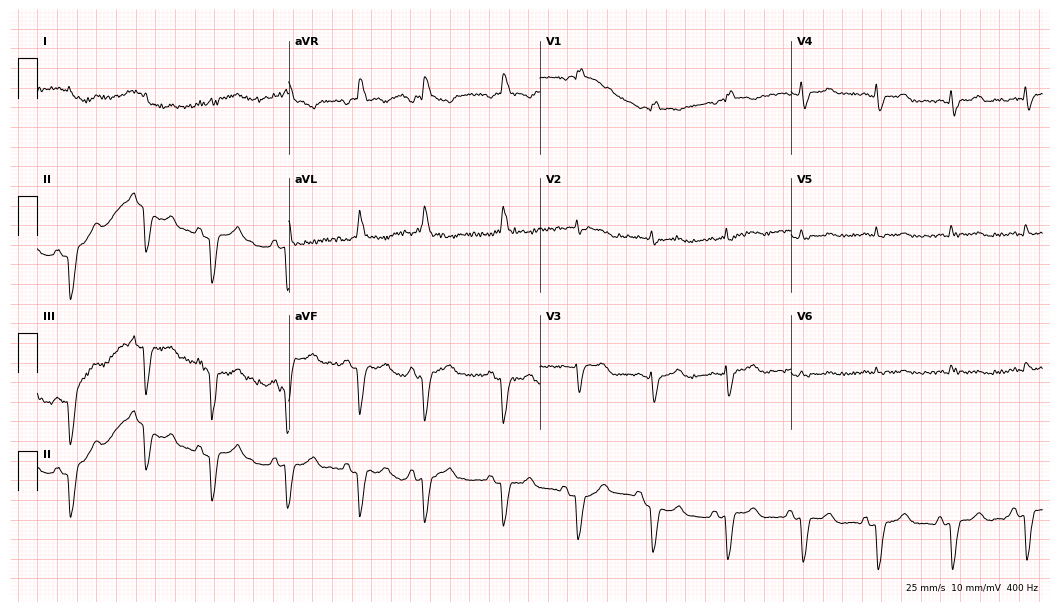
Standard 12-lead ECG recorded from a man, 85 years old (10.2-second recording at 400 Hz). None of these six findings is recorded: first-degree AV block, right bundle branch block, left bundle branch block, sinus bradycardia, atrial fibrillation, sinus tachycardia. Findings outside these six are not listed.